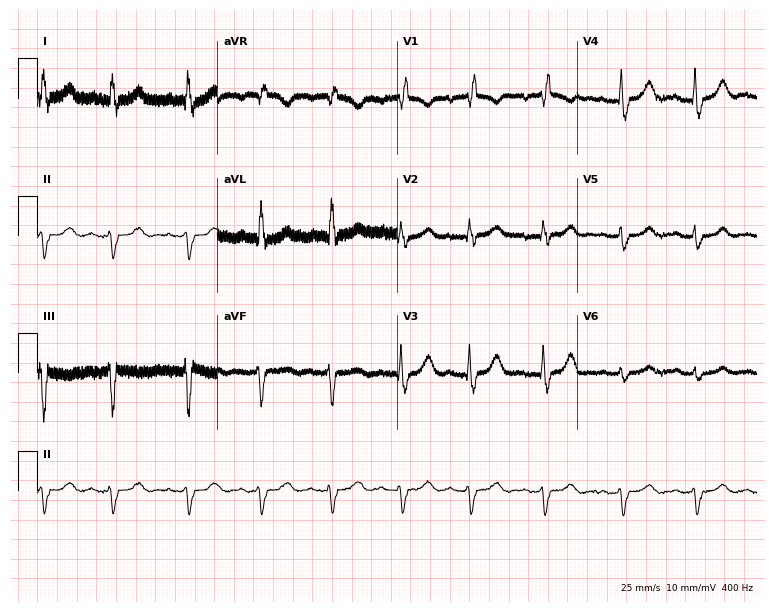
12-lead ECG from a 76-year-old female patient. No first-degree AV block, right bundle branch block, left bundle branch block, sinus bradycardia, atrial fibrillation or sinus tachycardia recorded for this tracing.